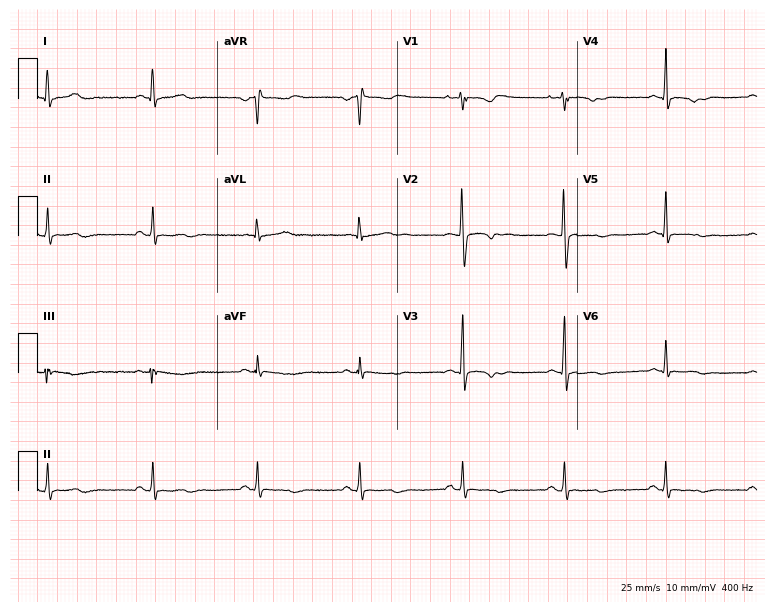
Standard 12-lead ECG recorded from a woman, 25 years old (7.3-second recording at 400 Hz). None of these six findings is recorded: first-degree AV block, right bundle branch block, left bundle branch block, sinus bradycardia, atrial fibrillation, sinus tachycardia.